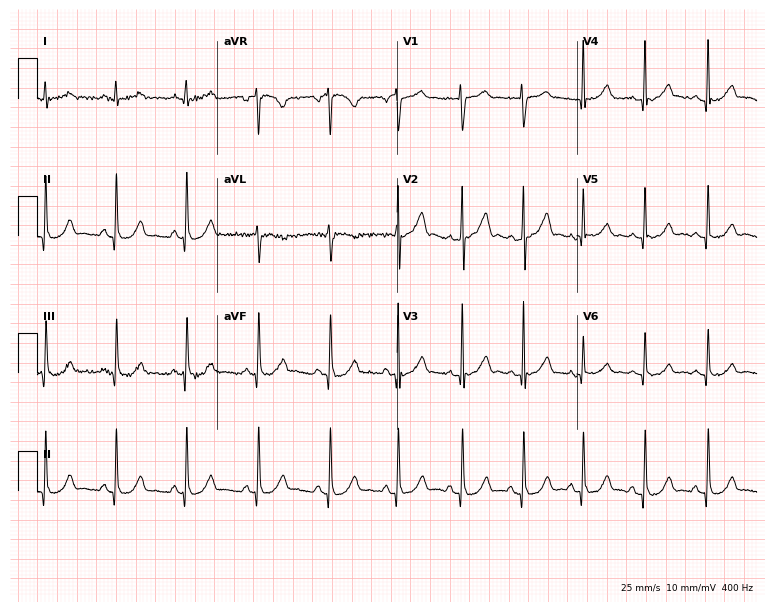
Resting 12-lead electrocardiogram (7.3-second recording at 400 Hz). Patient: a 37-year-old woman. Read as a normal ECG.